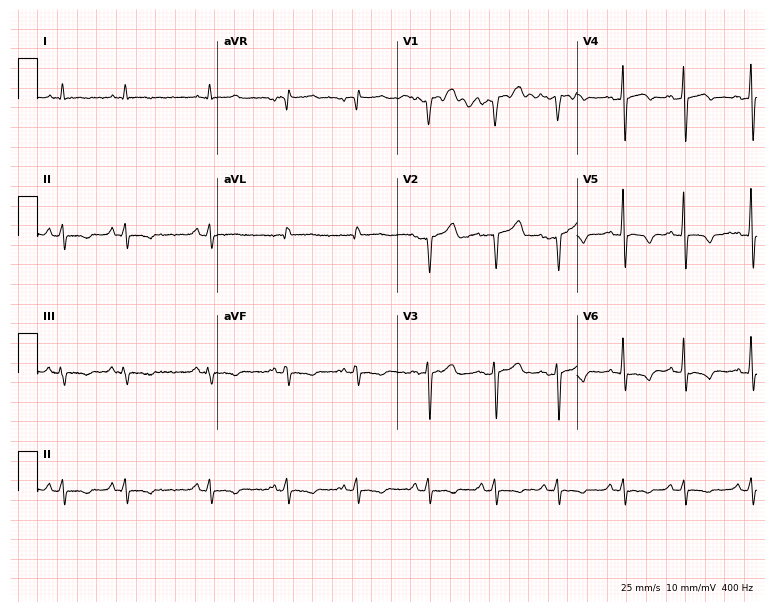
12-lead ECG (7.3-second recording at 400 Hz) from a 73-year-old male patient. Screened for six findings — first-degree AV block, right bundle branch block, left bundle branch block, sinus bradycardia, atrial fibrillation, sinus tachycardia — none is recorded. Findings outside these six are not listed.